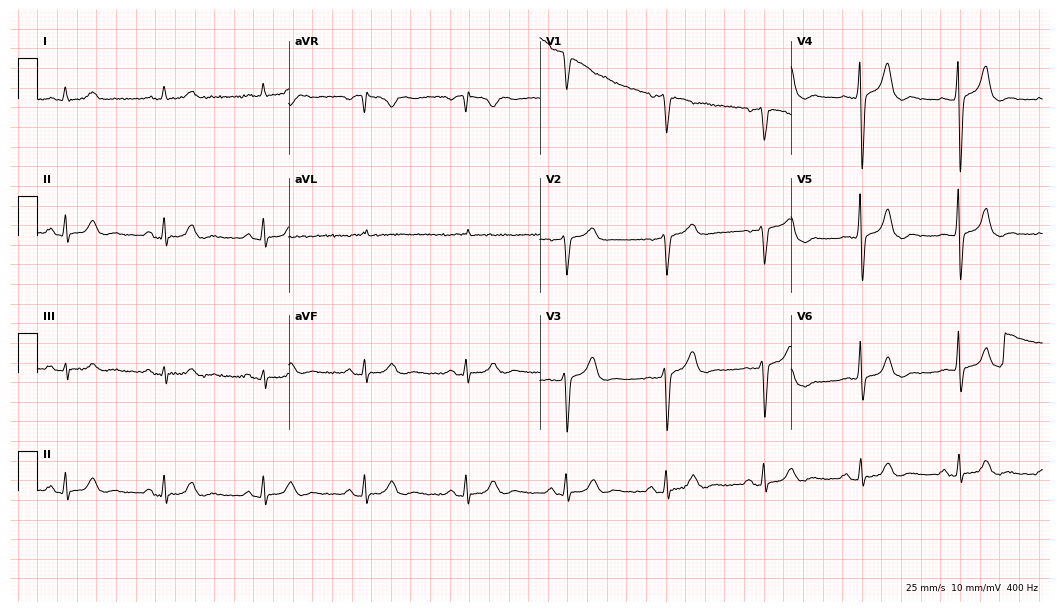
Standard 12-lead ECG recorded from a 72-year-old male. None of these six findings is recorded: first-degree AV block, right bundle branch block, left bundle branch block, sinus bradycardia, atrial fibrillation, sinus tachycardia.